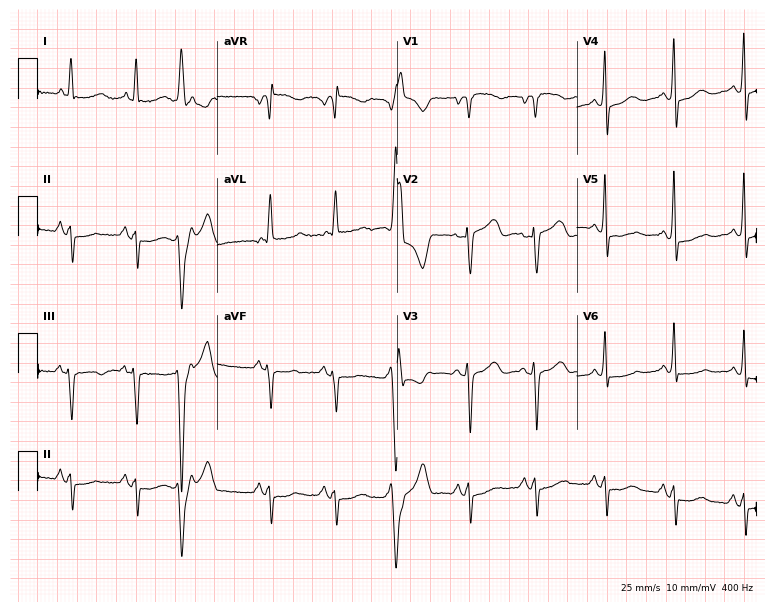
Electrocardiogram (7.3-second recording at 400 Hz), a 71-year-old woman. Of the six screened findings (first-degree AV block, right bundle branch block (RBBB), left bundle branch block (LBBB), sinus bradycardia, atrial fibrillation (AF), sinus tachycardia), none is recorded. Other findings, if any, are not listed.